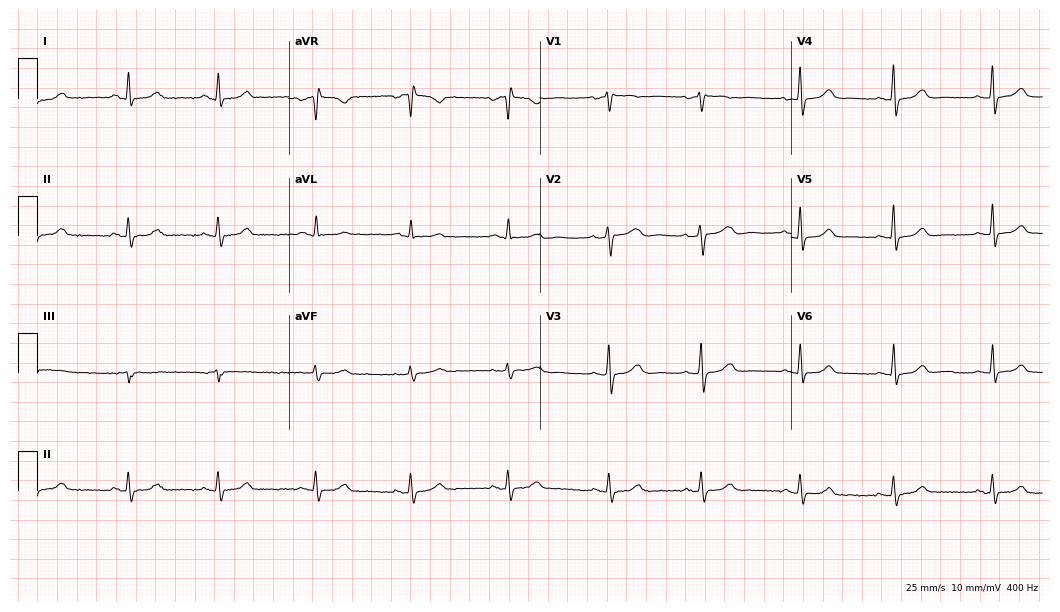
ECG — a 42-year-old woman. Screened for six findings — first-degree AV block, right bundle branch block, left bundle branch block, sinus bradycardia, atrial fibrillation, sinus tachycardia — none is recorded. Other findings, if any, are not listed.